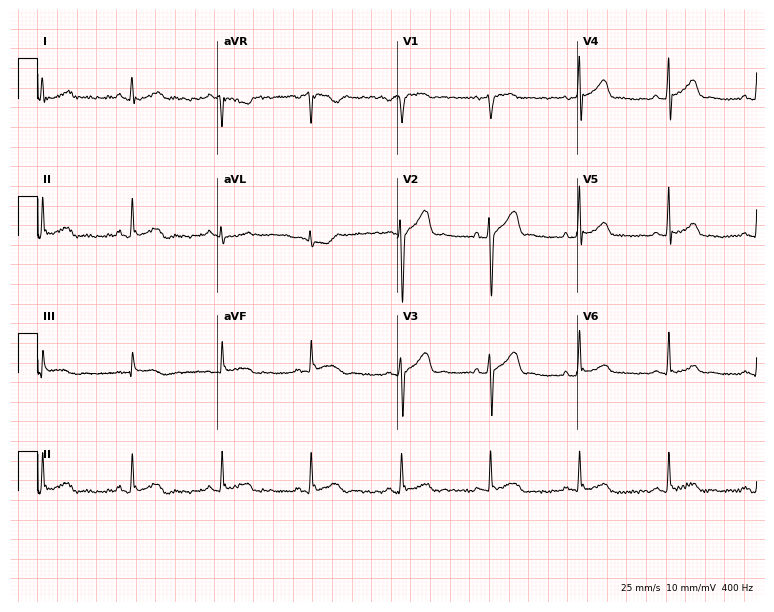
Standard 12-lead ECG recorded from a male patient, 48 years old (7.3-second recording at 400 Hz). Read as a normal ECG.